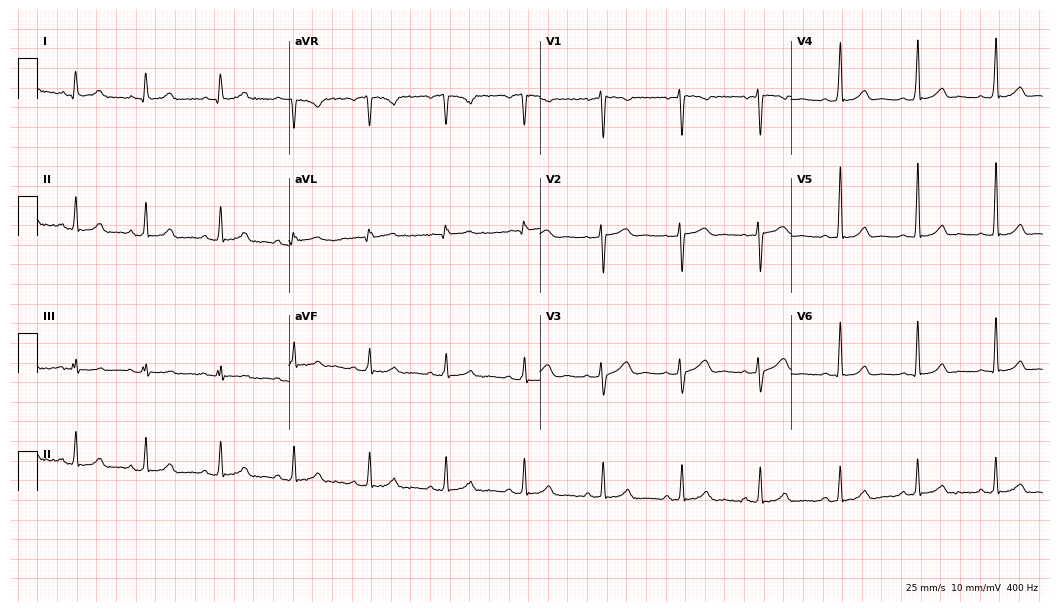
Standard 12-lead ECG recorded from a woman, 29 years old. Read as a normal ECG.